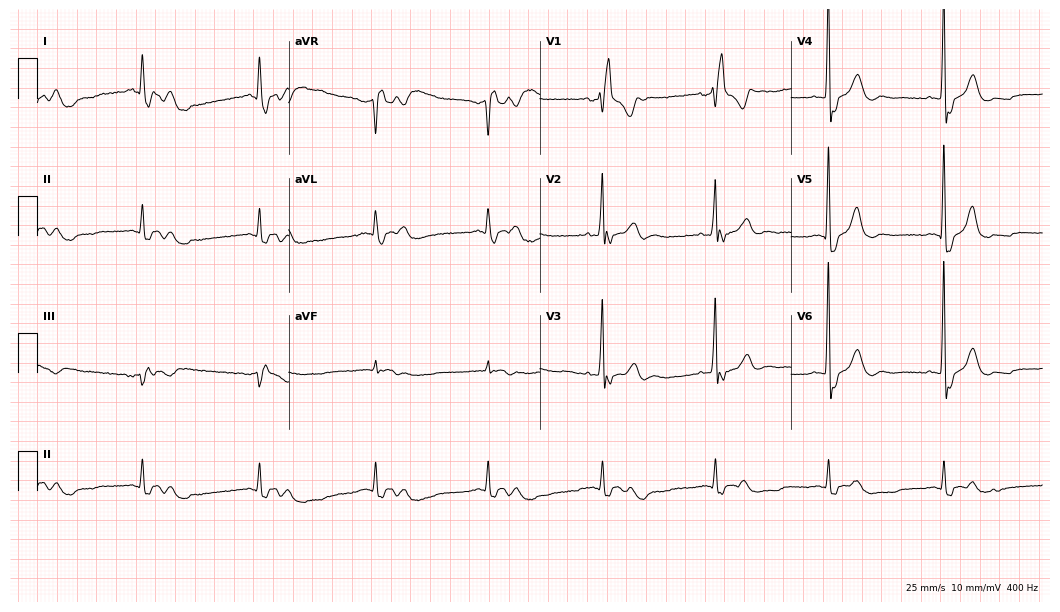
12-lead ECG from a man, 67 years old. No first-degree AV block, right bundle branch block, left bundle branch block, sinus bradycardia, atrial fibrillation or sinus tachycardia recorded for this tracing. Only these six findings were labelled.